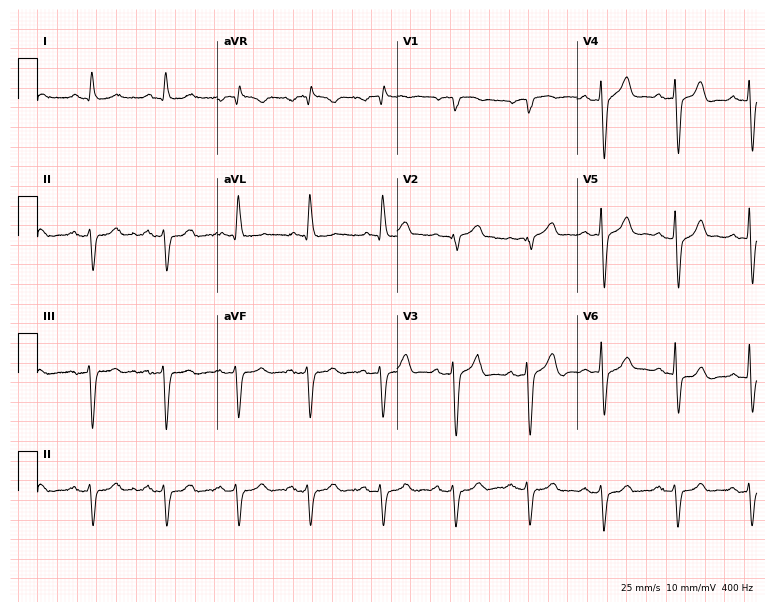
12-lead ECG from an 83-year-old man. Screened for six findings — first-degree AV block, right bundle branch block, left bundle branch block, sinus bradycardia, atrial fibrillation, sinus tachycardia — none is recorded. Findings outside these six are not listed.